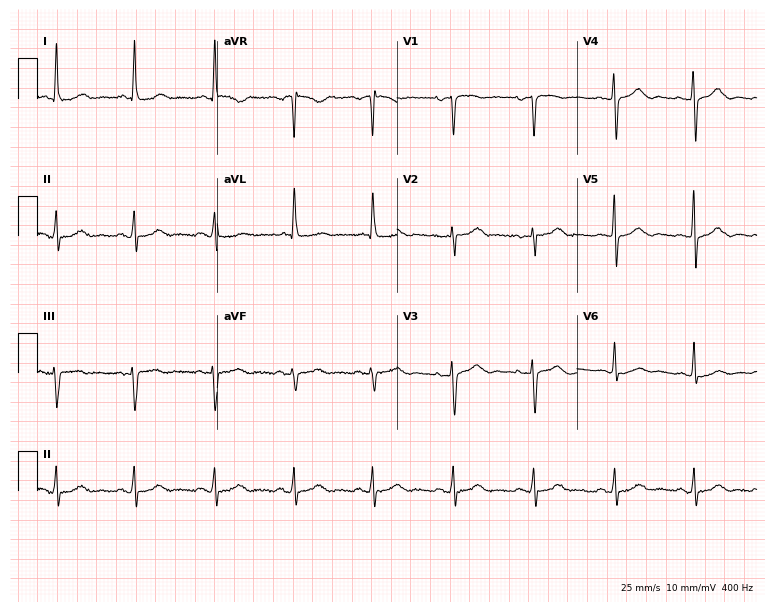
Resting 12-lead electrocardiogram. Patient: a 72-year-old female. Read as a normal ECG.